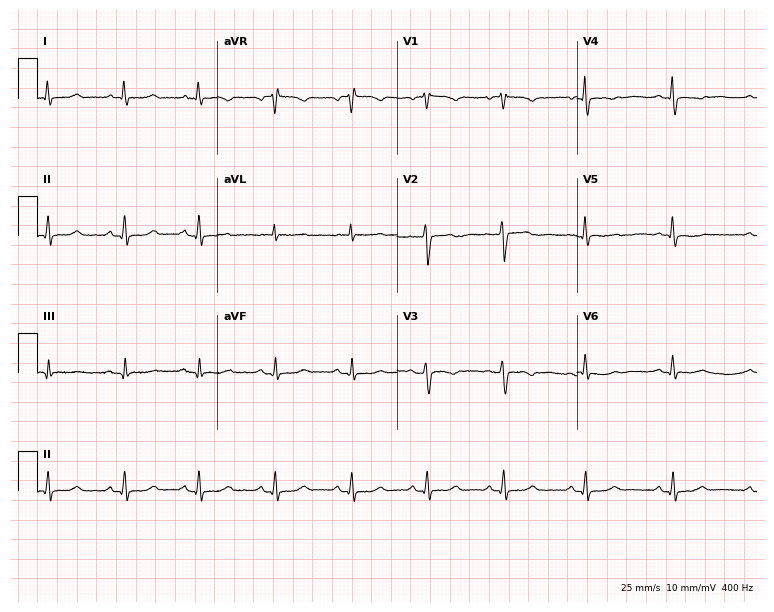
Standard 12-lead ECG recorded from a 64-year-old female (7.3-second recording at 400 Hz). None of these six findings is recorded: first-degree AV block, right bundle branch block (RBBB), left bundle branch block (LBBB), sinus bradycardia, atrial fibrillation (AF), sinus tachycardia.